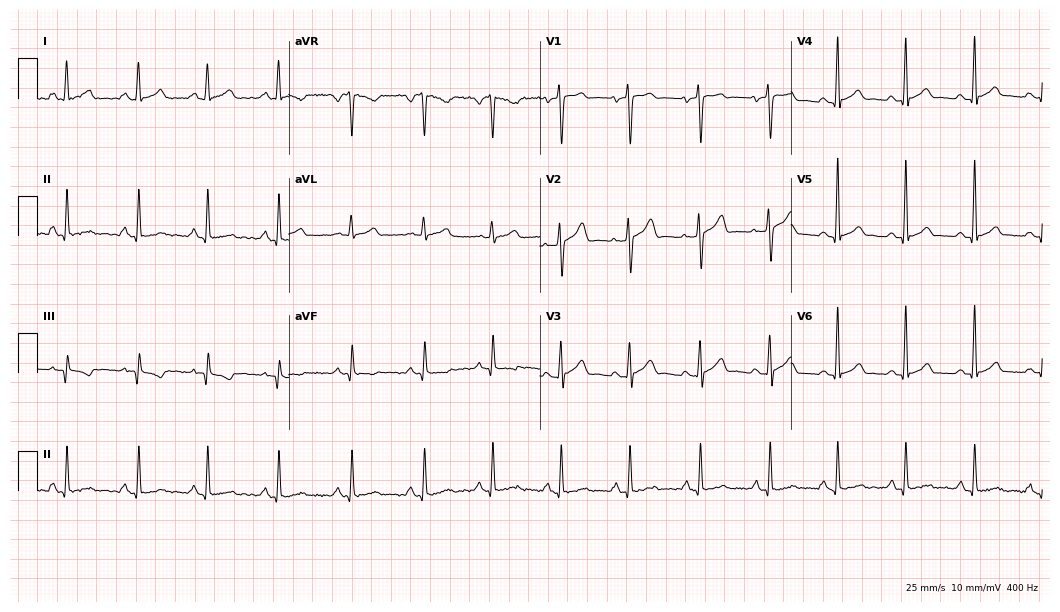
Resting 12-lead electrocardiogram (10.2-second recording at 400 Hz). Patient: a male, 25 years old. Read as a normal ECG.